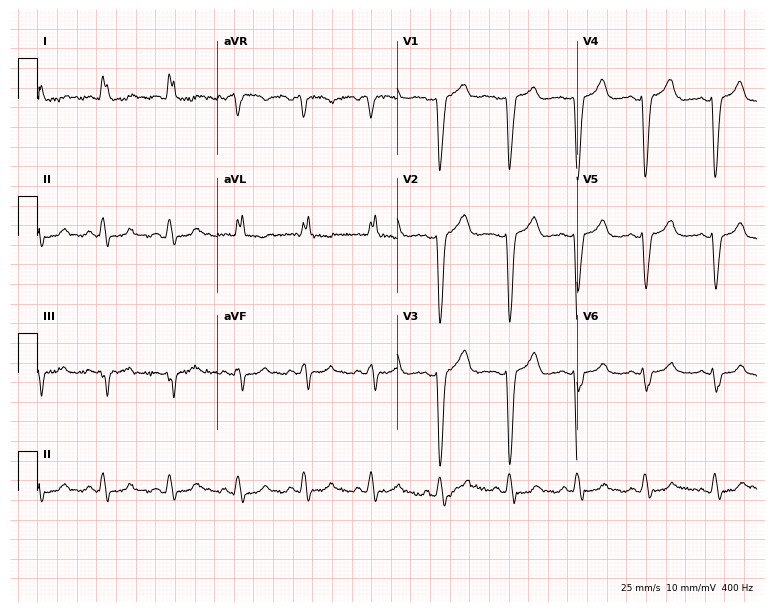
Electrocardiogram, a 48-year-old female patient. Interpretation includes left bundle branch block.